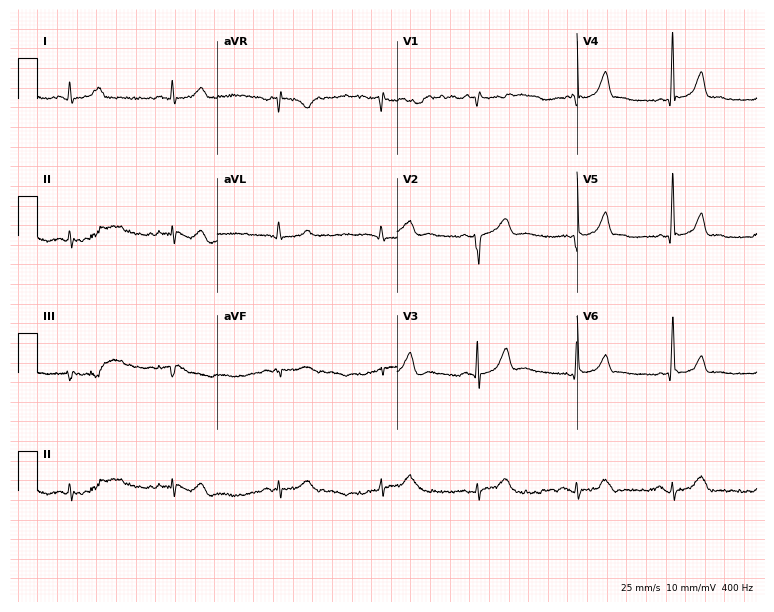
ECG (7.3-second recording at 400 Hz) — a 35-year-old female. Labelled as a normal ECG.